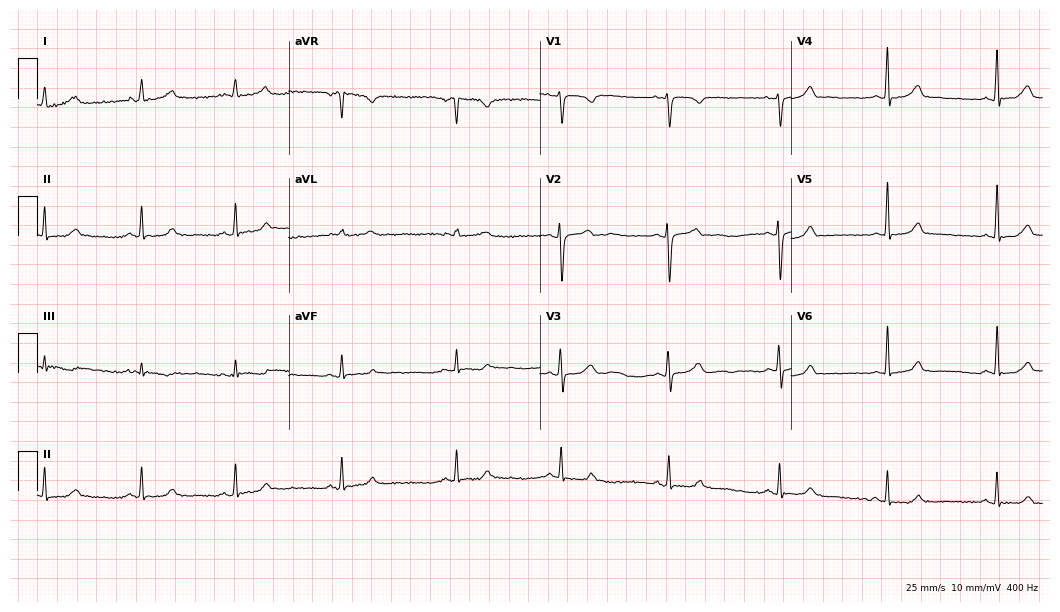
Electrocardiogram (10.2-second recording at 400 Hz), a woman, 41 years old. Of the six screened findings (first-degree AV block, right bundle branch block, left bundle branch block, sinus bradycardia, atrial fibrillation, sinus tachycardia), none is recorded.